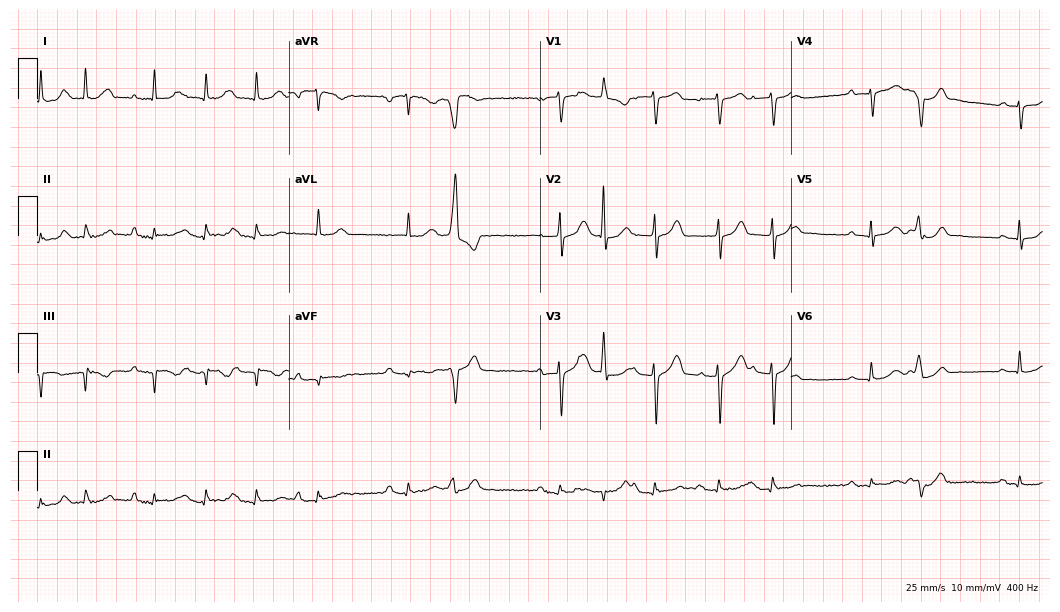
Resting 12-lead electrocardiogram (10.2-second recording at 400 Hz). Patient: a woman, 82 years old. Read as a normal ECG.